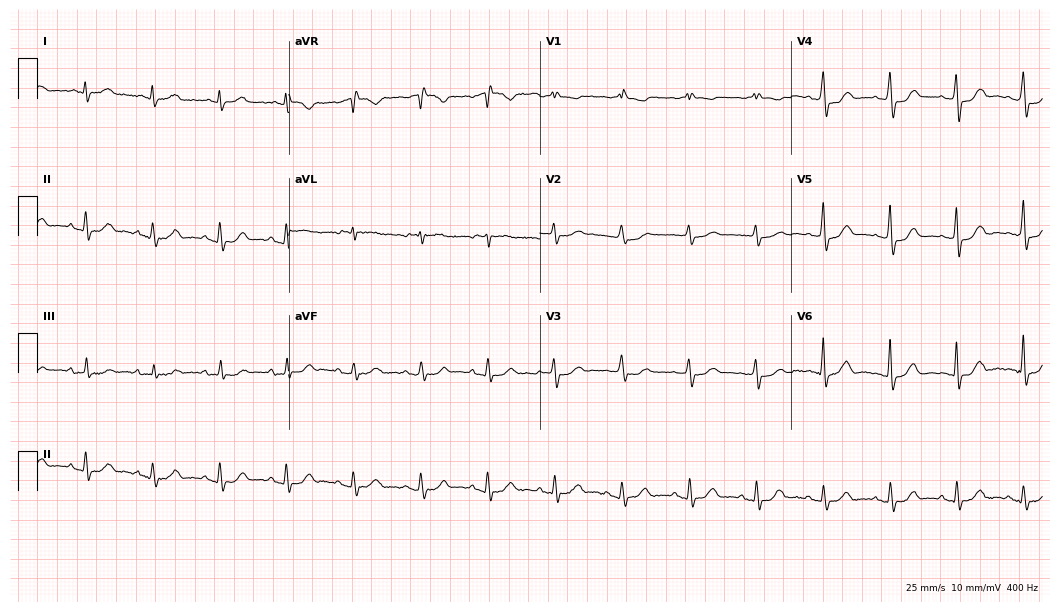
Standard 12-lead ECG recorded from a male patient, 82 years old. None of these six findings is recorded: first-degree AV block, right bundle branch block, left bundle branch block, sinus bradycardia, atrial fibrillation, sinus tachycardia.